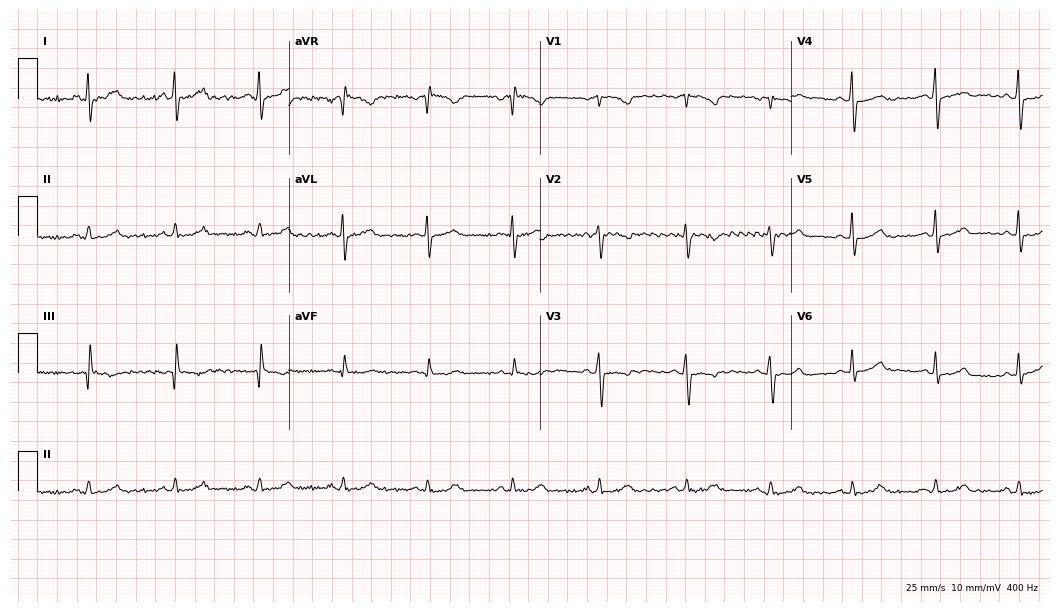
12-lead ECG from a 42-year-old female (10.2-second recording at 400 Hz). No first-degree AV block, right bundle branch block (RBBB), left bundle branch block (LBBB), sinus bradycardia, atrial fibrillation (AF) or sinus tachycardia recorded for this tracing.